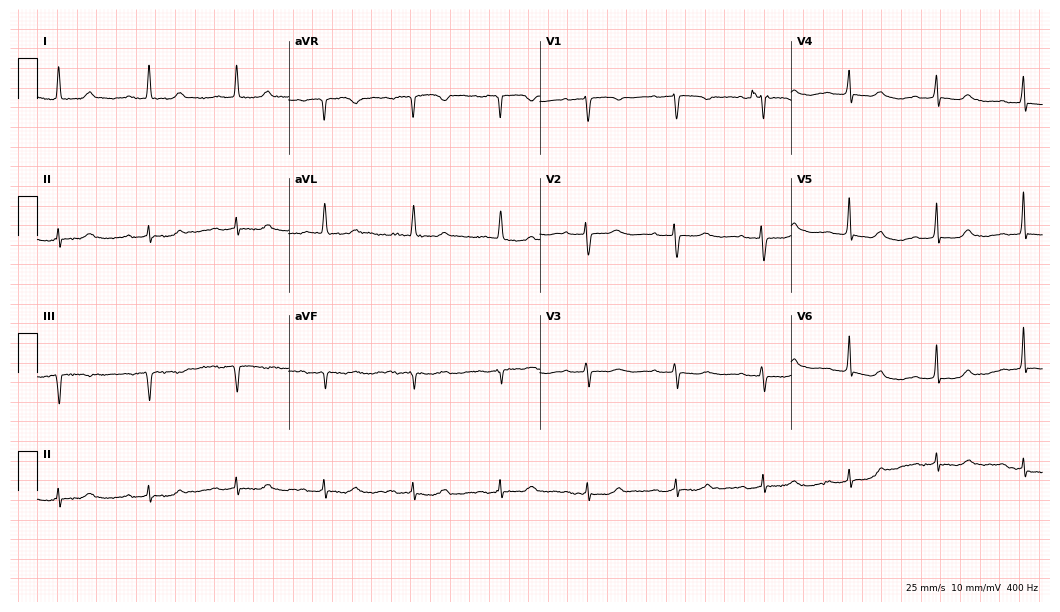
Resting 12-lead electrocardiogram (10.2-second recording at 400 Hz). Patient: an 84-year-old woman. The tracing shows first-degree AV block.